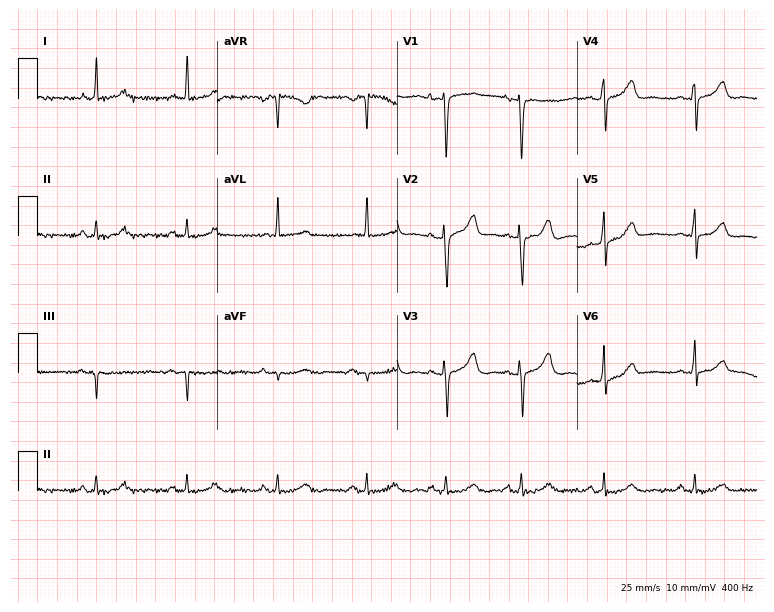
12-lead ECG from a female patient, 48 years old. No first-degree AV block, right bundle branch block, left bundle branch block, sinus bradycardia, atrial fibrillation or sinus tachycardia recorded for this tracing.